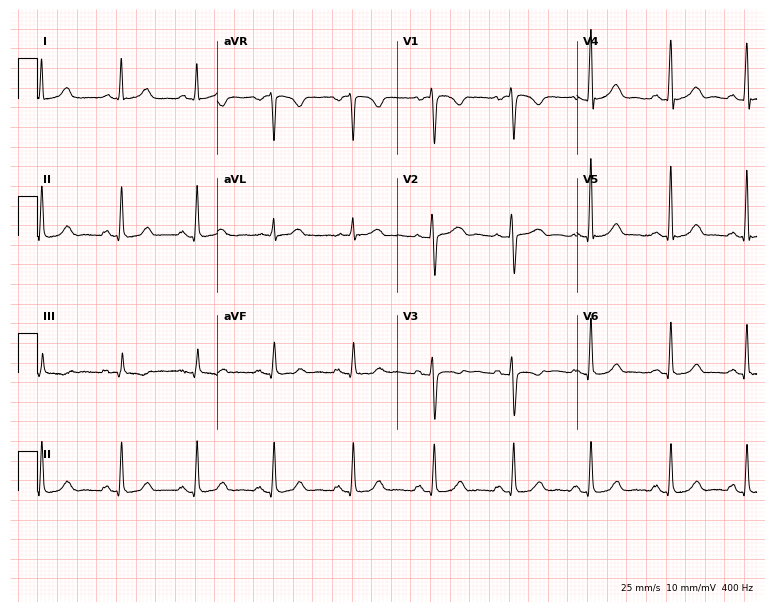
ECG — a 45-year-old woman. Labelled as a normal ECG.